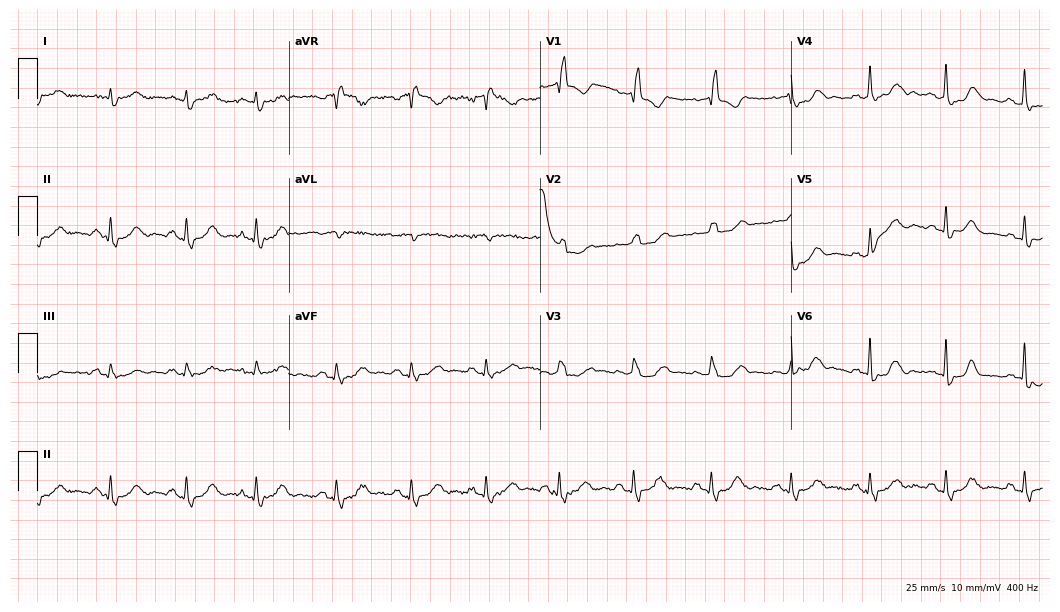
12-lead ECG from a 75-year-old female patient (10.2-second recording at 400 Hz). No first-degree AV block, right bundle branch block, left bundle branch block, sinus bradycardia, atrial fibrillation or sinus tachycardia recorded for this tracing. Only these six findings were labelled.